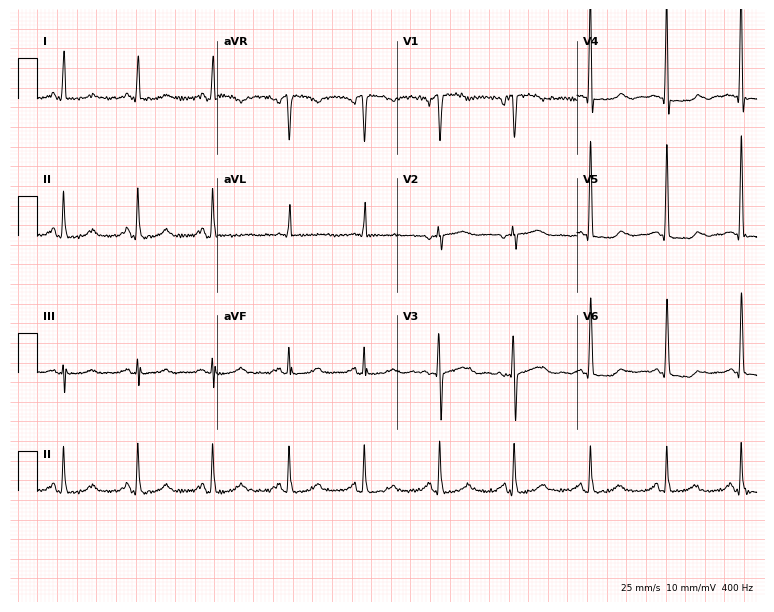
12-lead ECG from a 64-year-old woman (7.3-second recording at 400 Hz). No first-degree AV block, right bundle branch block, left bundle branch block, sinus bradycardia, atrial fibrillation or sinus tachycardia recorded for this tracing.